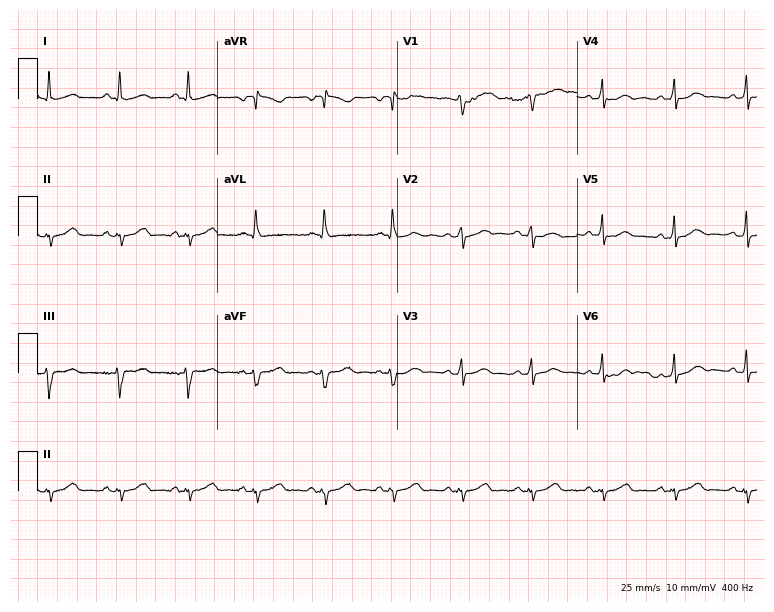
12-lead ECG from a 41-year-old female (7.3-second recording at 400 Hz). No first-degree AV block, right bundle branch block (RBBB), left bundle branch block (LBBB), sinus bradycardia, atrial fibrillation (AF) or sinus tachycardia recorded for this tracing.